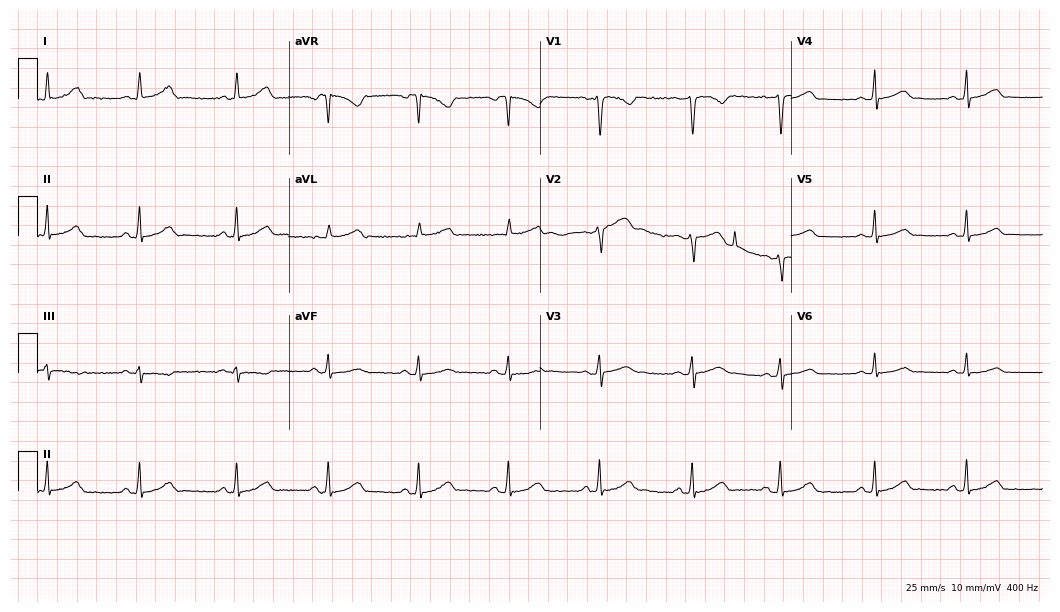
Electrocardiogram, a 35-year-old female. Overall reading on record: normal ECG.